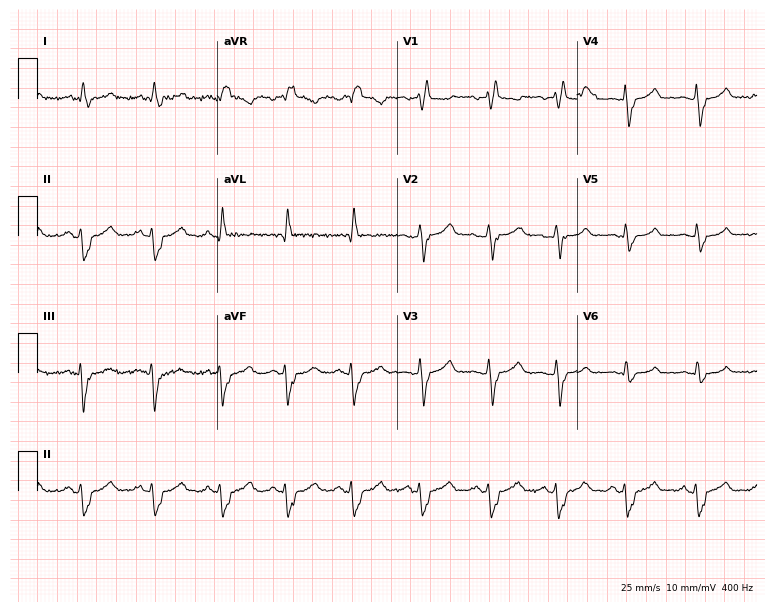
Resting 12-lead electrocardiogram. Patient: a man, 51 years old. The tracing shows right bundle branch block, left bundle branch block.